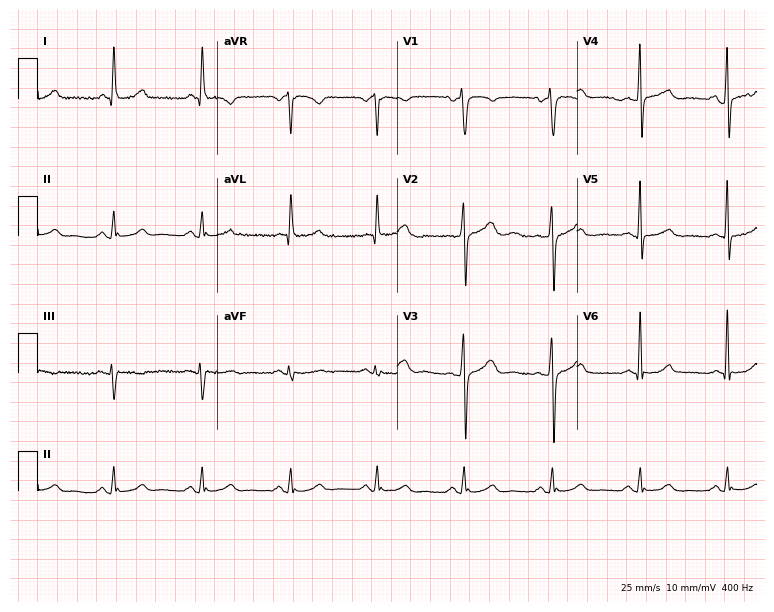
12-lead ECG (7.3-second recording at 400 Hz) from a female patient, 61 years old. Labelled as a normal ECG.